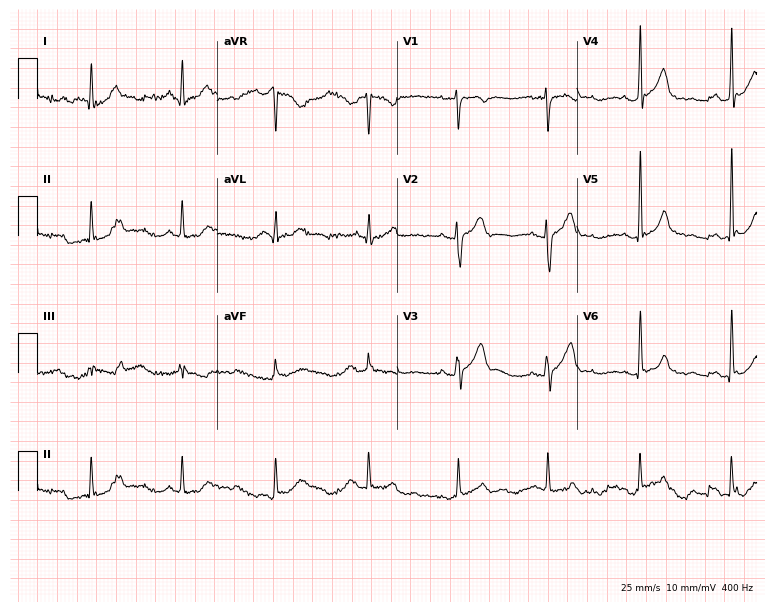
Resting 12-lead electrocardiogram. Patient: a male, 30 years old. Read as a normal ECG.